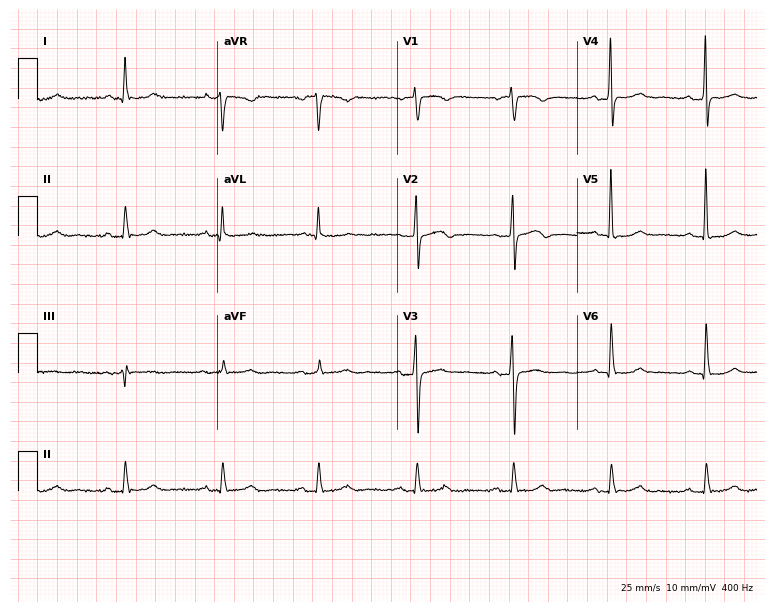
Standard 12-lead ECG recorded from a male patient, 81 years old (7.3-second recording at 400 Hz). Read as a normal ECG.